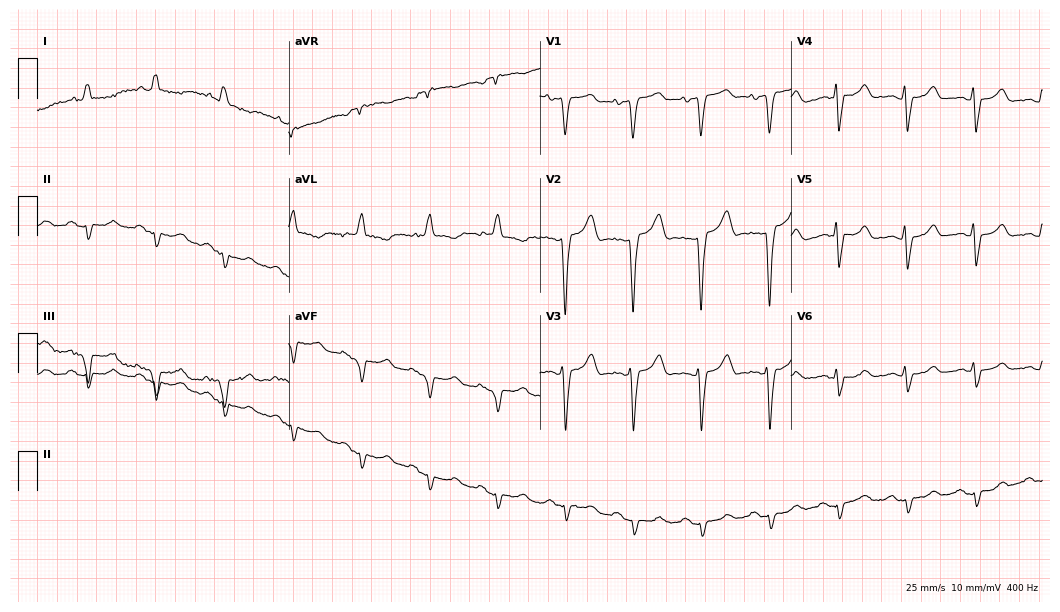
12-lead ECG from an 84-year-old male patient. Screened for six findings — first-degree AV block, right bundle branch block, left bundle branch block, sinus bradycardia, atrial fibrillation, sinus tachycardia — none is recorded.